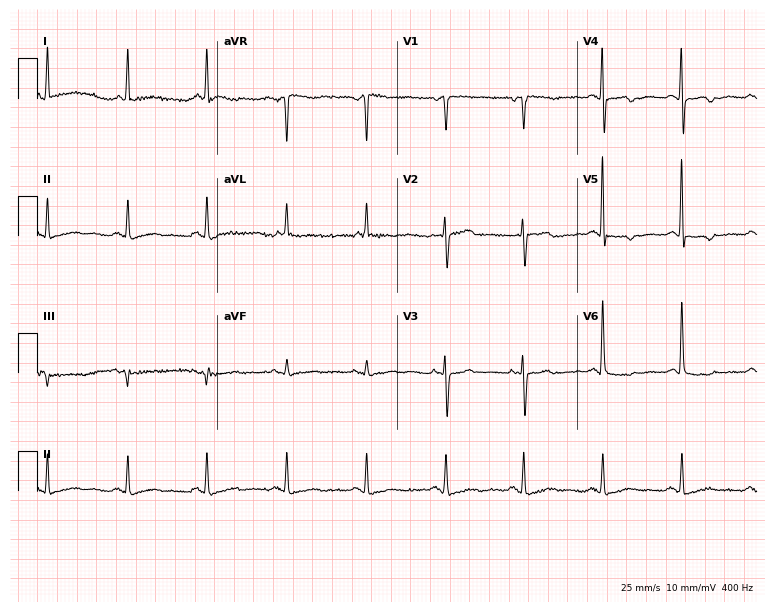
Resting 12-lead electrocardiogram. Patient: a female, 83 years old. None of these six findings is recorded: first-degree AV block, right bundle branch block, left bundle branch block, sinus bradycardia, atrial fibrillation, sinus tachycardia. Only these six findings were labelled.